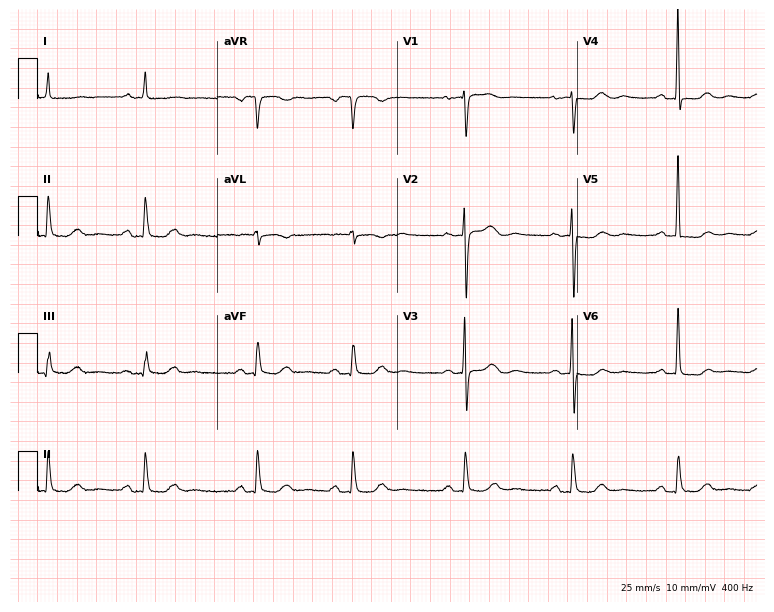
Resting 12-lead electrocardiogram. Patient: a female, 78 years old. Read as a normal ECG.